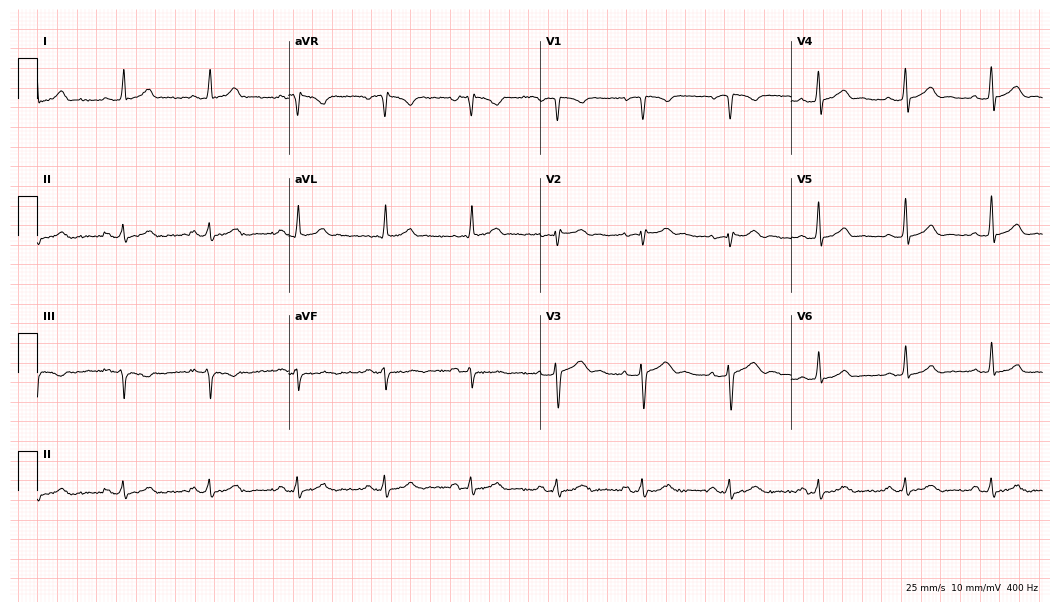
Resting 12-lead electrocardiogram (10.2-second recording at 400 Hz). Patient: a male, 34 years old. Read as a normal ECG.